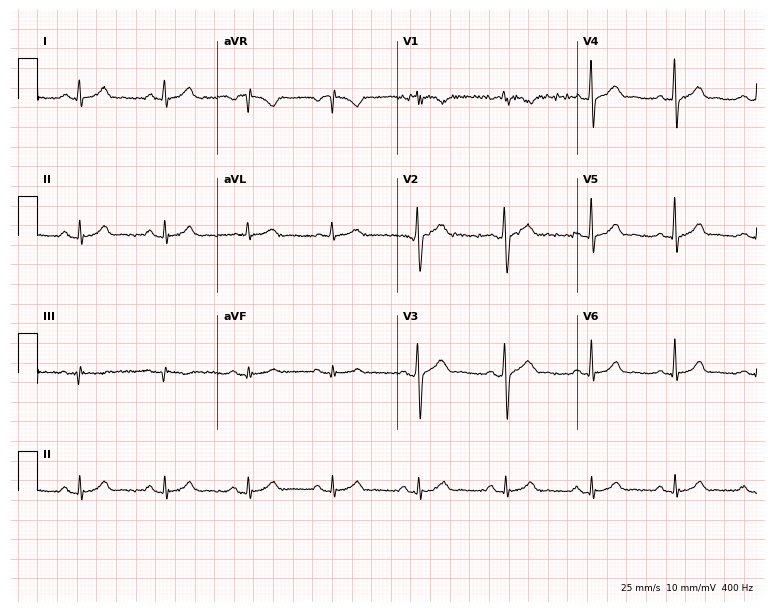
12-lead ECG from a male patient, 52 years old. Labelled as a normal ECG.